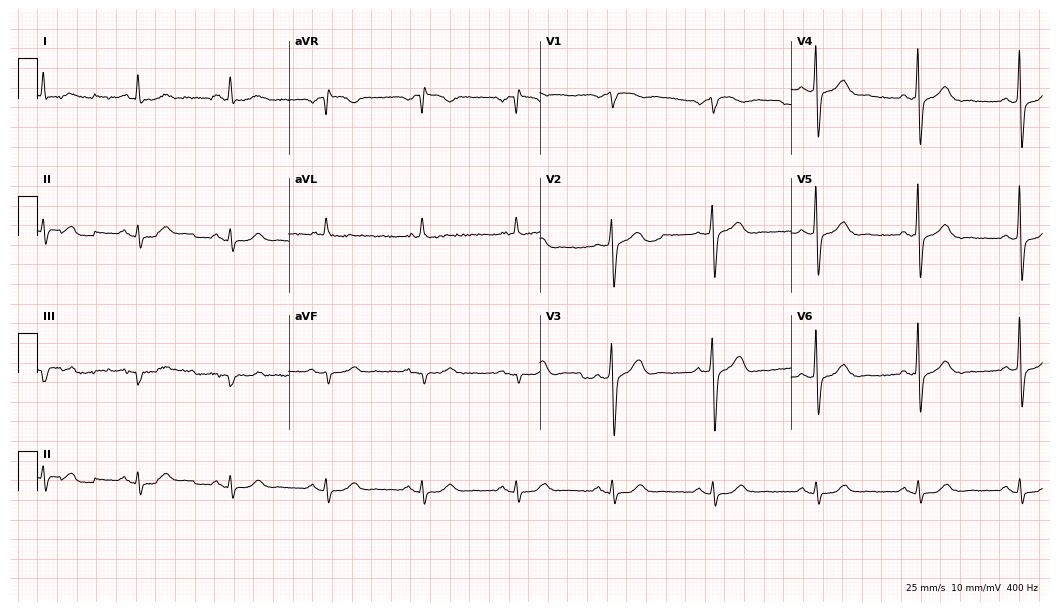
12-lead ECG (10.2-second recording at 400 Hz) from a 76-year-old man. Screened for six findings — first-degree AV block, right bundle branch block, left bundle branch block, sinus bradycardia, atrial fibrillation, sinus tachycardia — none is recorded.